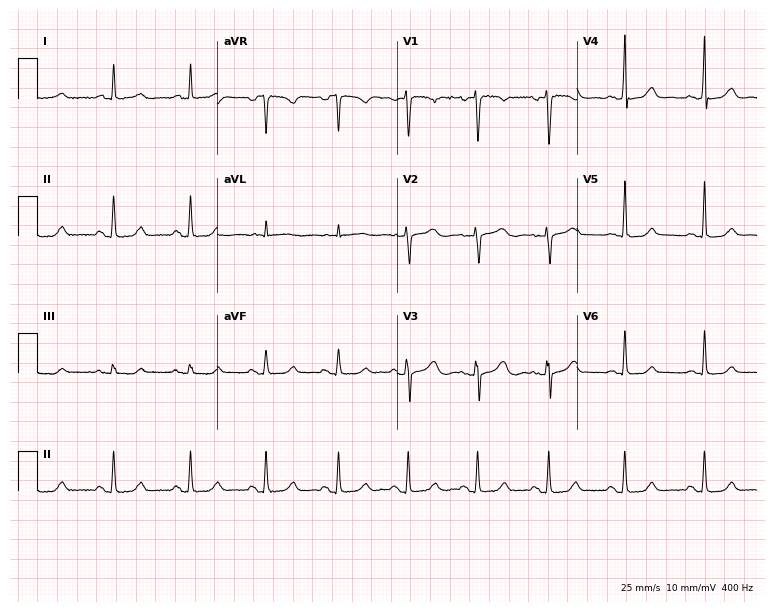
Standard 12-lead ECG recorded from a 46-year-old female patient (7.3-second recording at 400 Hz). Read as a normal ECG.